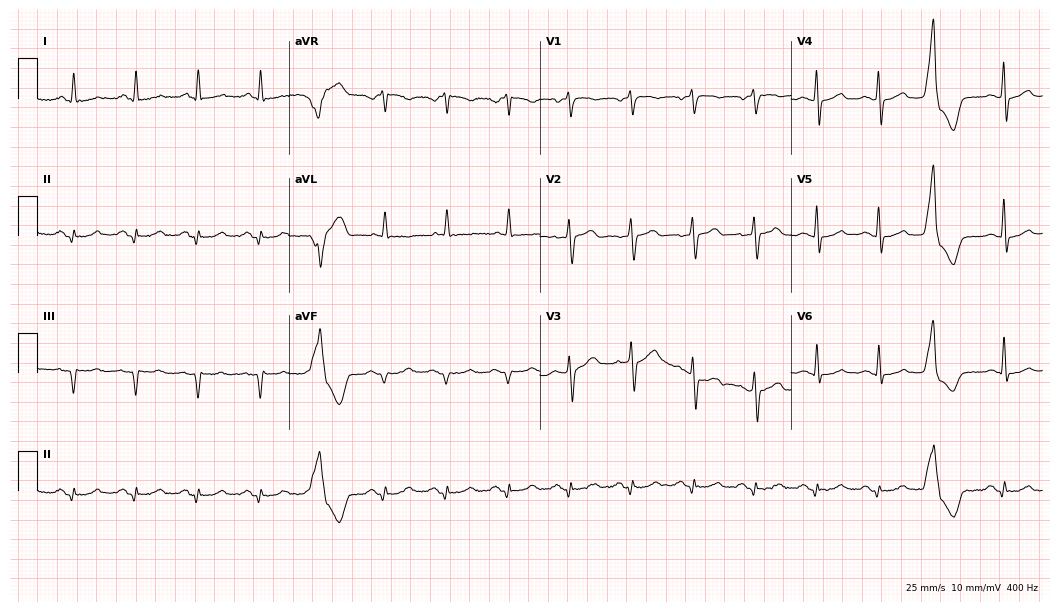
12-lead ECG from a 65-year-old male (10.2-second recording at 400 Hz). No first-degree AV block, right bundle branch block, left bundle branch block, sinus bradycardia, atrial fibrillation or sinus tachycardia recorded for this tracing.